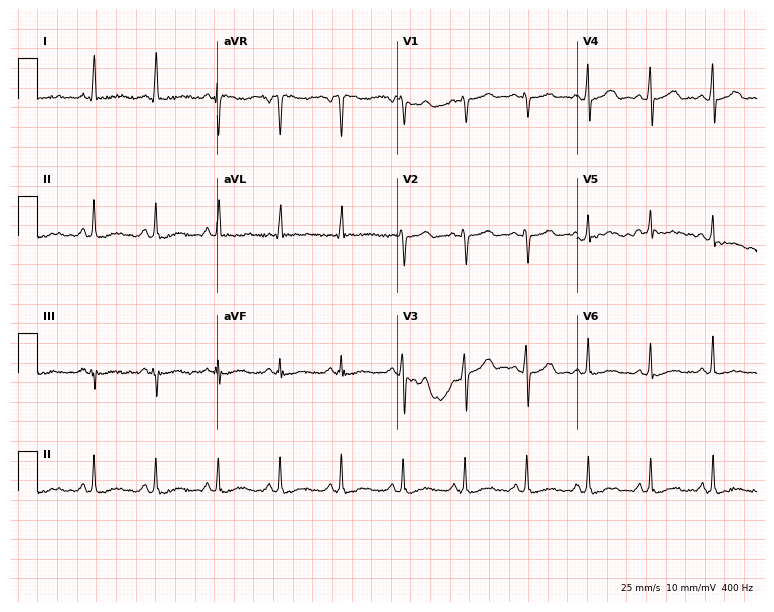
Standard 12-lead ECG recorded from a woman, 39 years old (7.3-second recording at 400 Hz). None of these six findings is recorded: first-degree AV block, right bundle branch block (RBBB), left bundle branch block (LBBB), sinus bradycardia, atrial fibrillation (AF), sinus tachycardia. Findings outside these six are not listed.